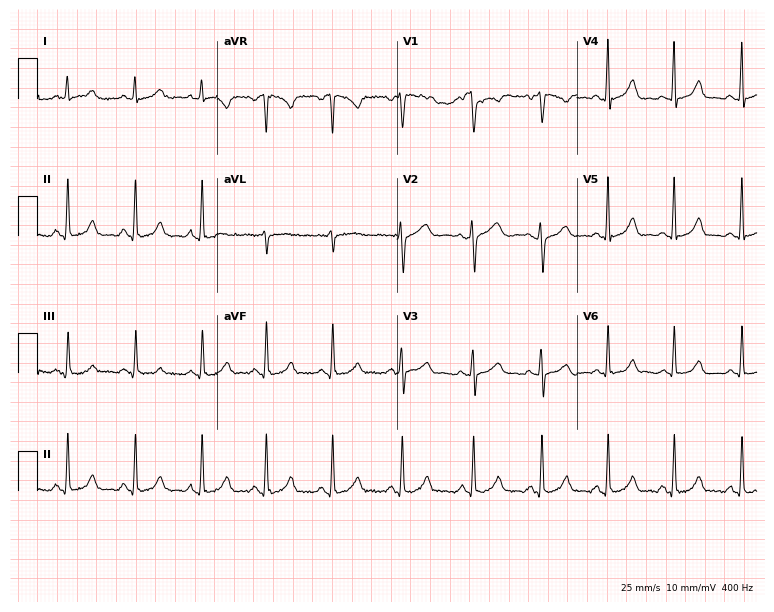
12-lead ECG from a female, 37 years old (7.3-second recording at 400 Hz). No first-degree AV block, right bundle branch block (RBBB), left bundle branch block (LBBB), sinus bradycardia, atrial fibrillation (AF) or sinus tachycardia recorded for this tracing.